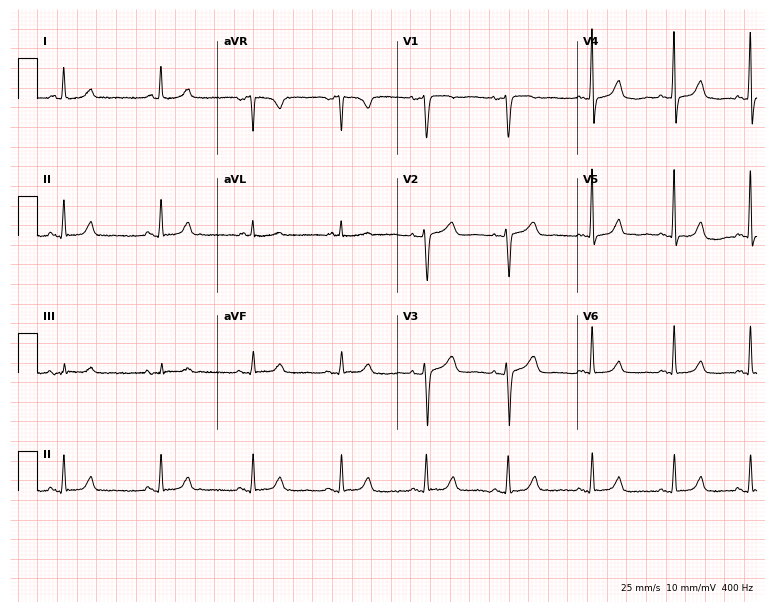
12-lead ECG from a 53-year-old female patient (7.3-second recording at 400 Hz). No first-degree AV block, right bundle branch block, left bundle branch block, sinus bradycardia, atrial fibrillation or sinus tachycardia recorded for this tracing. Other findings, if any, are not listed.